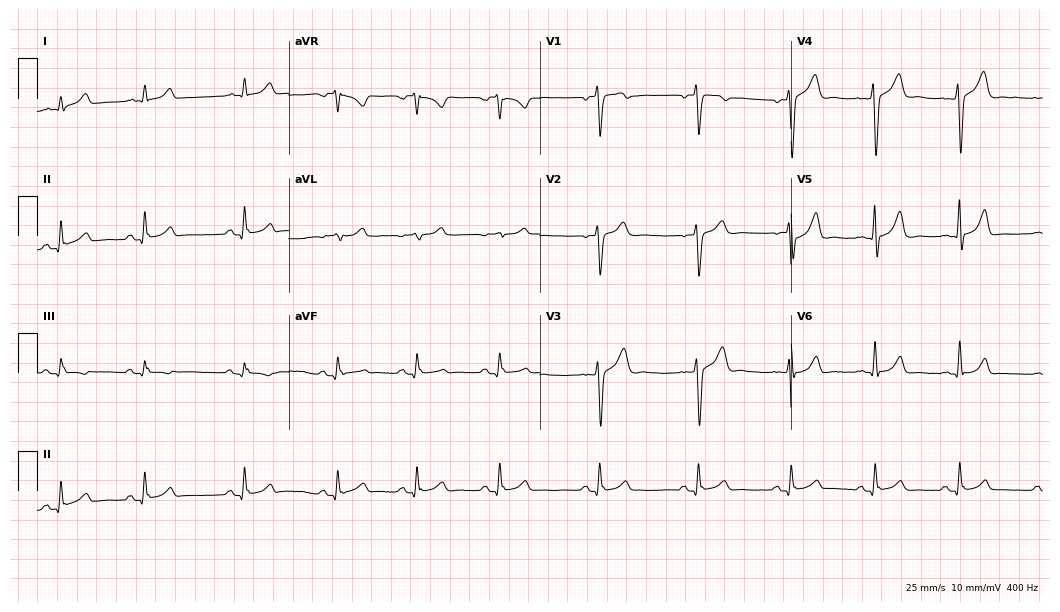
ECG — a male patient, 29 years old. Screened for six findings — first-degree AV block, right bundle branch block (RBBB), left bundle branch block (LBBB), sinus bradycardia, atrial fibrillation (AF), sinus tachycardia — none is recorded. Other findings, if any, are not listed.